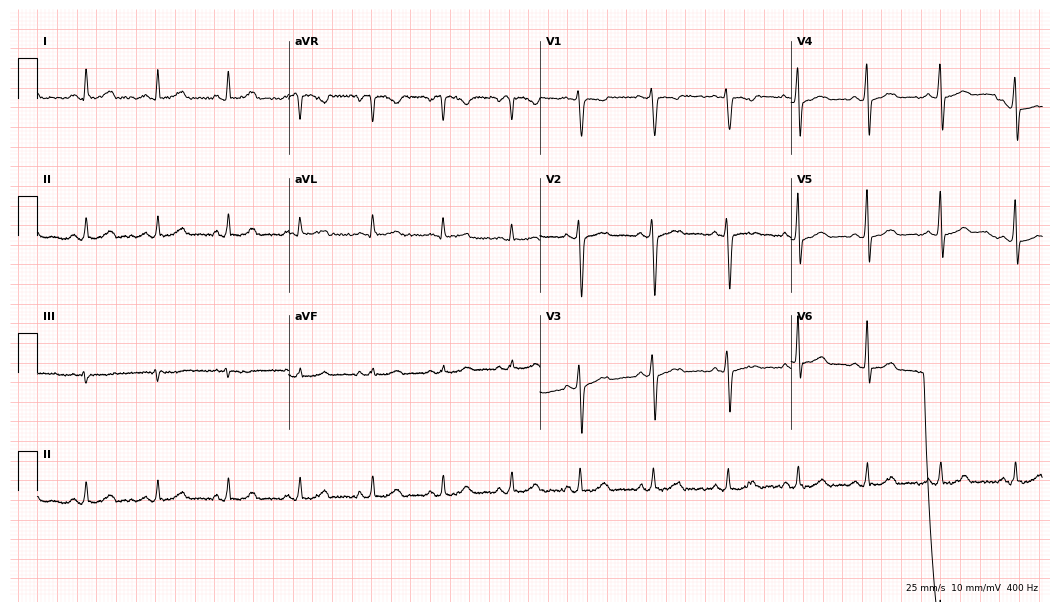
12-lead ECG from a female, 46 years old. Recorded interpretation: within normal limits.